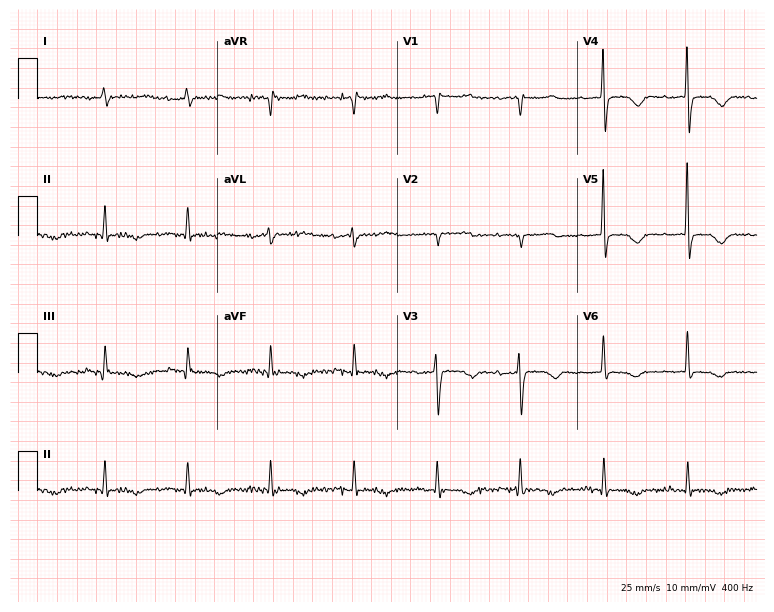
12-lead ECG from a woman, 72 years old. No first-degree AV block, right bundle branch block (RBBB), left bundle branch block (LBBB), sinus bradycardia, atrial fibrillation (AF) or sinus tachycardia recorded for this tracing. Other findings, if any, are not listed.